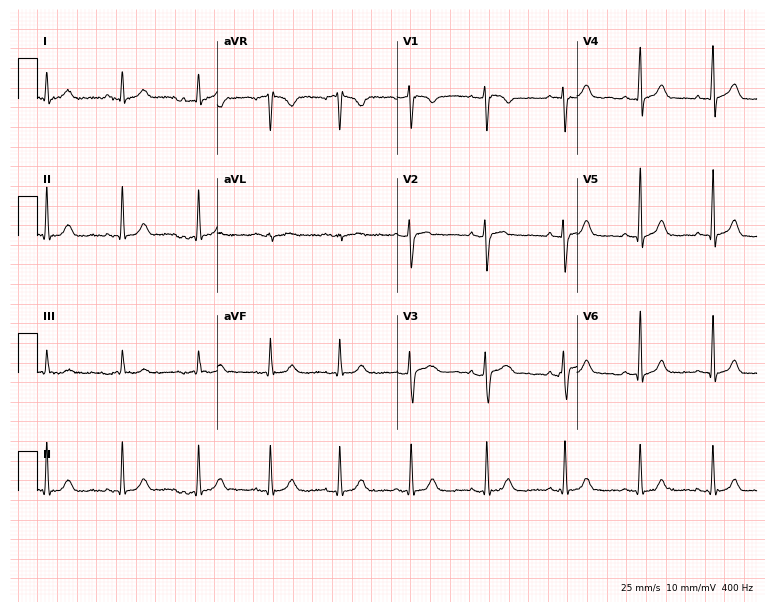
12-lead ECG (7.3-second recording at 400 Hz) from a female, 29 years old. Labelled as a normal ECG.